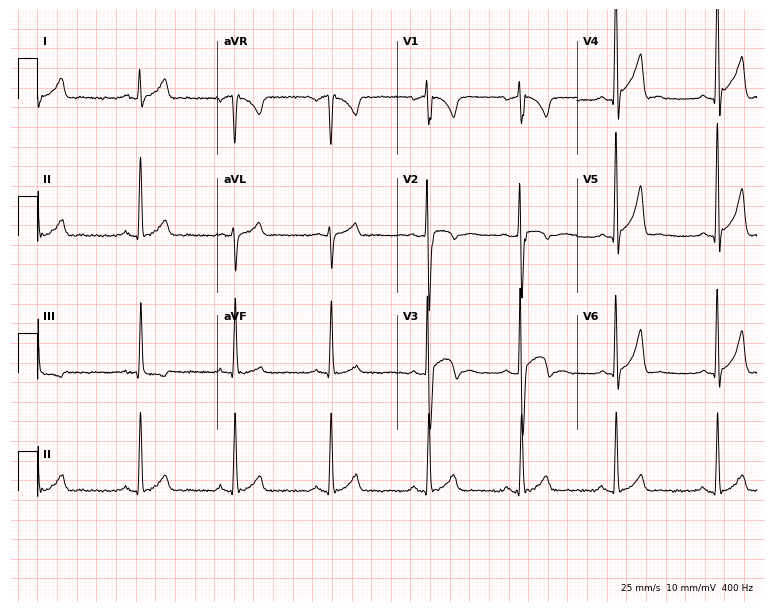
Resting 12-lead electrocardiogram. Patient: a male, 18 years old. None of these six findings is recorded: first-degree AV block, right bundle branch block, left bundle branch block, sinus bradycardia, atrial fibrillation, sinus tachycardia.